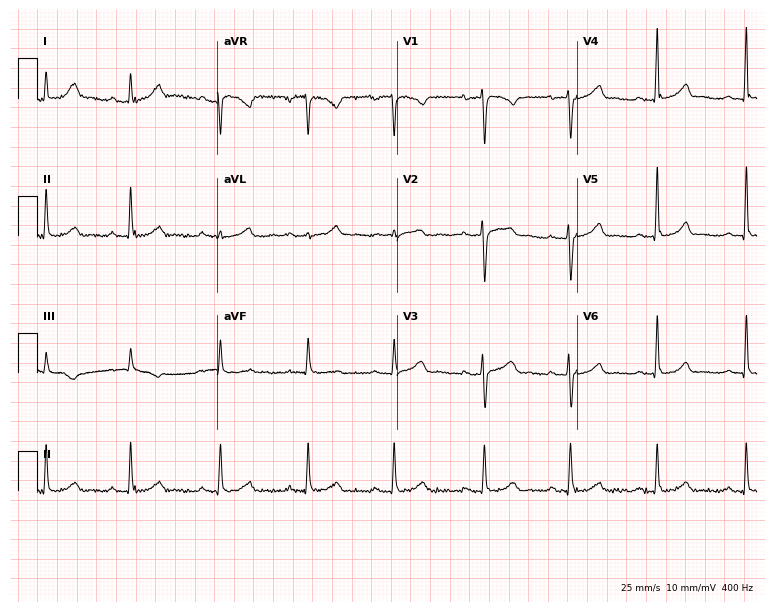
12-lead ECG (7.3-second recording at 400 Hz) from a 30-year-old female patient. Labelled as a normal ECG.